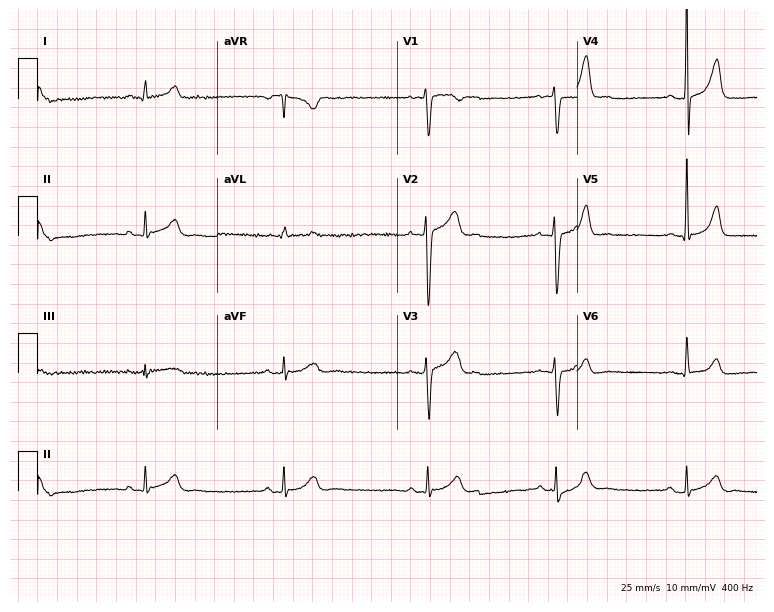
Electrocardiogram, a male, 20 years old. Interpretation includes right bundle branch block.